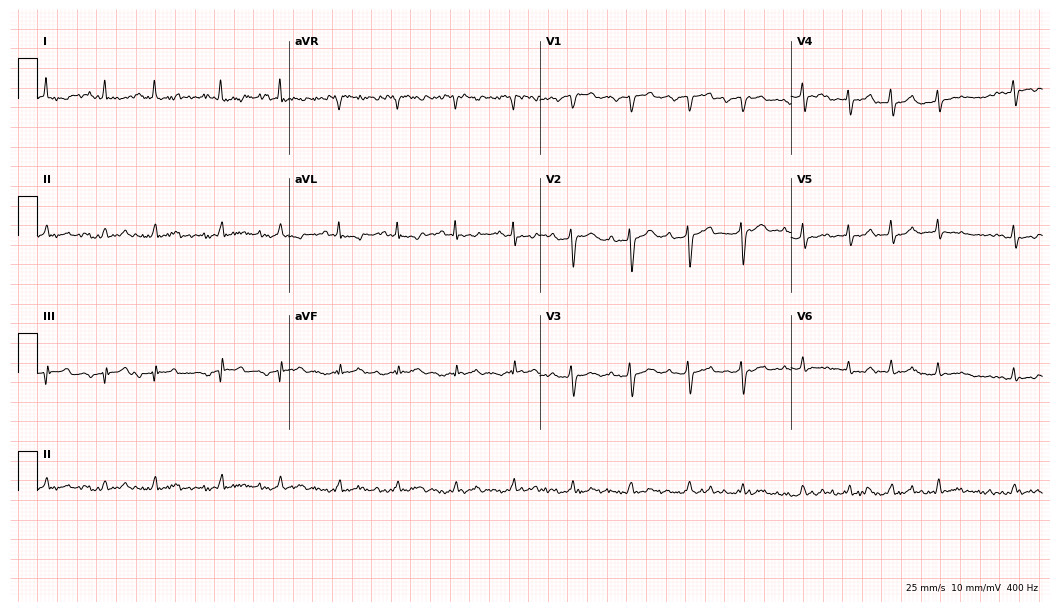
12-lead ECG from a man, 84 years old. No first-degree AV block, right bundle branch block (RBBB), left bundle branch block (LBBB), sinus bradycardia, atrial fibrillation (AF) or sinus tachycardia recorded for this tracing. Other findings, if any, are not listed.